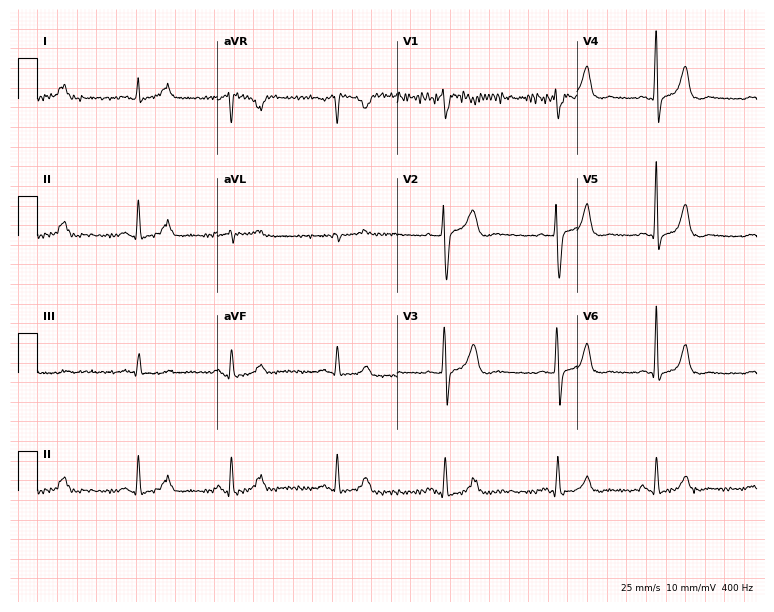
Standard 12-lead ECG recorded from a 47-year-old male patient (7.3-second recording at 400 Hz). Read as a normal ECG.